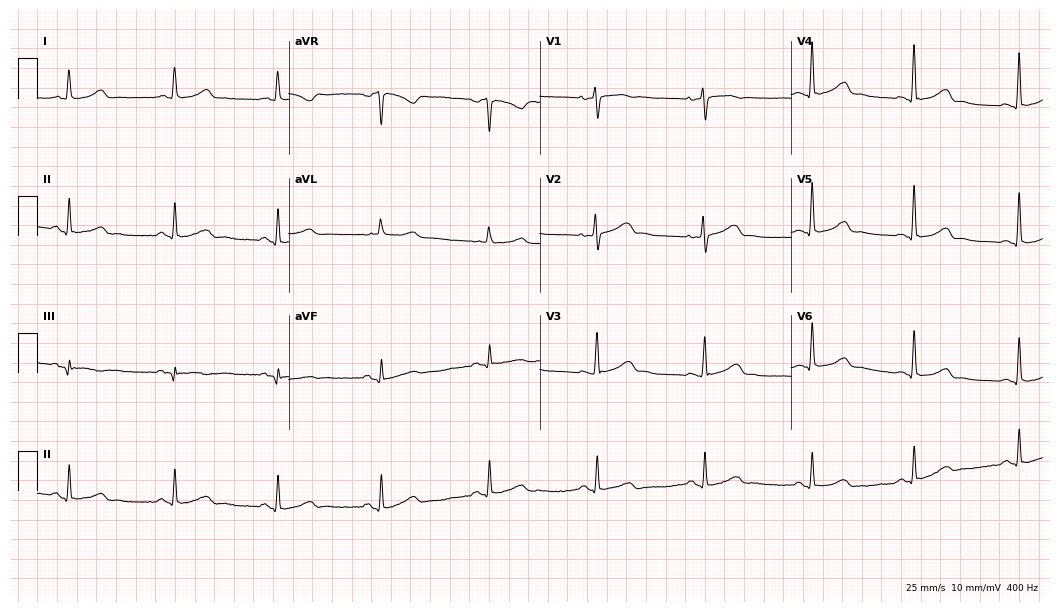
ECG (10.2-second recording at 400 Hz) — a 50-year-old woman. Screened for six findings — first-degree AV block, right bundle branch block, left bundle branch block, sinus bradycardia, atrial fibrillation, sinus tachycardia — none is recorded.